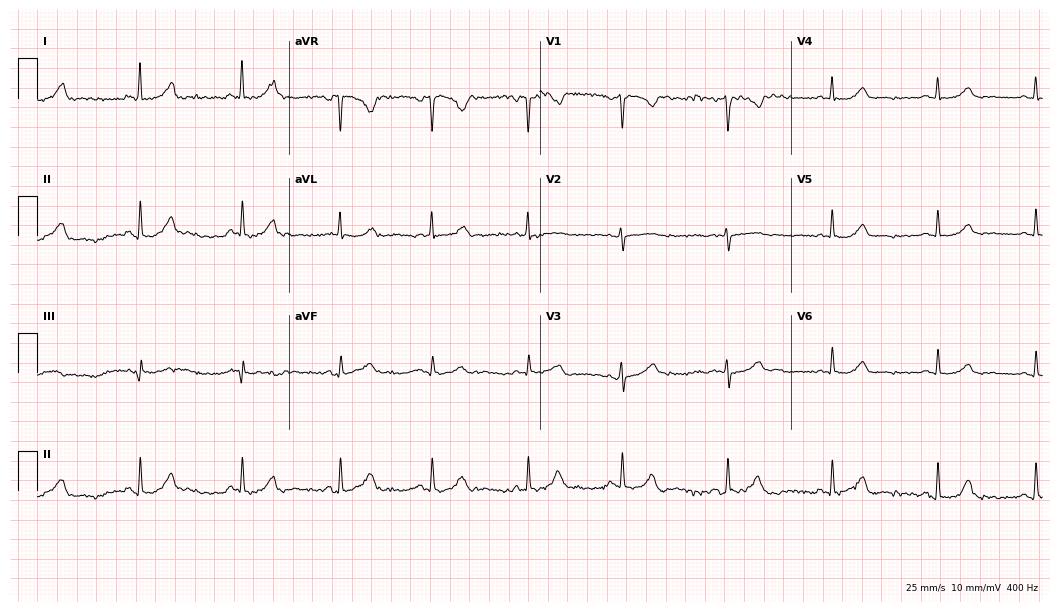
Resting 12-lead electrocardiogram. Patient: a woman, 33 years old. None of these six findings is recorded: first-degree AV block, right bundle branch block, left bundle branch block, sinus bradycardia, atrial fibrillation, sinus tachycardia. Other findings, if any, are not listed.